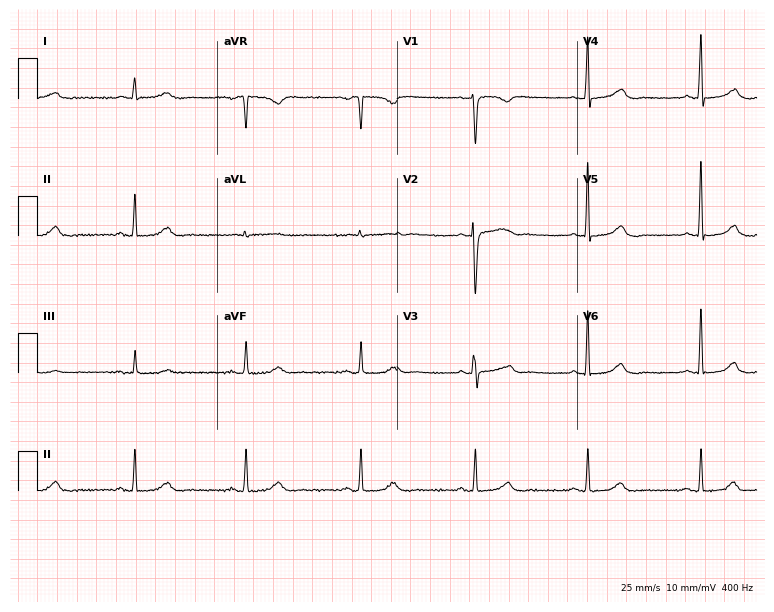
ECG — a 55-year-old woman. Screened for six findings — first-degree AV block, right bundle branch block, left bundle branch block, sinus bradycardia, atrial fibrillation, sinus tachycardia — none is recorded.